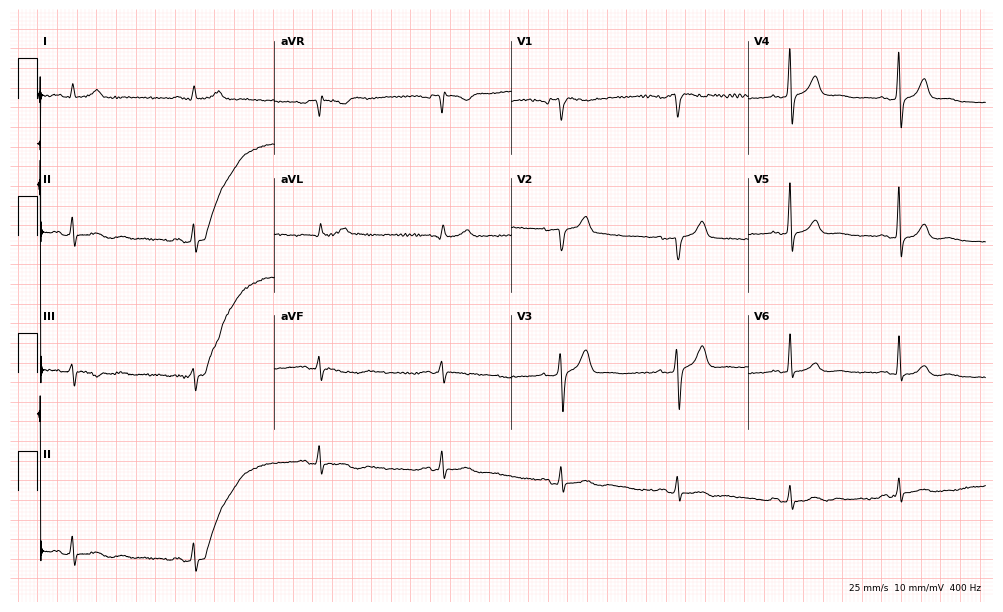
Electrocardiogram, a 55-year-old male patient. Of the six screened findings (first-degree AV block, right bundle branch block (RBBB), left bundle branch block (LBBB), sinus bradycardia, atrial fibrillation (AF), sinus tachycardia), none is recorded.